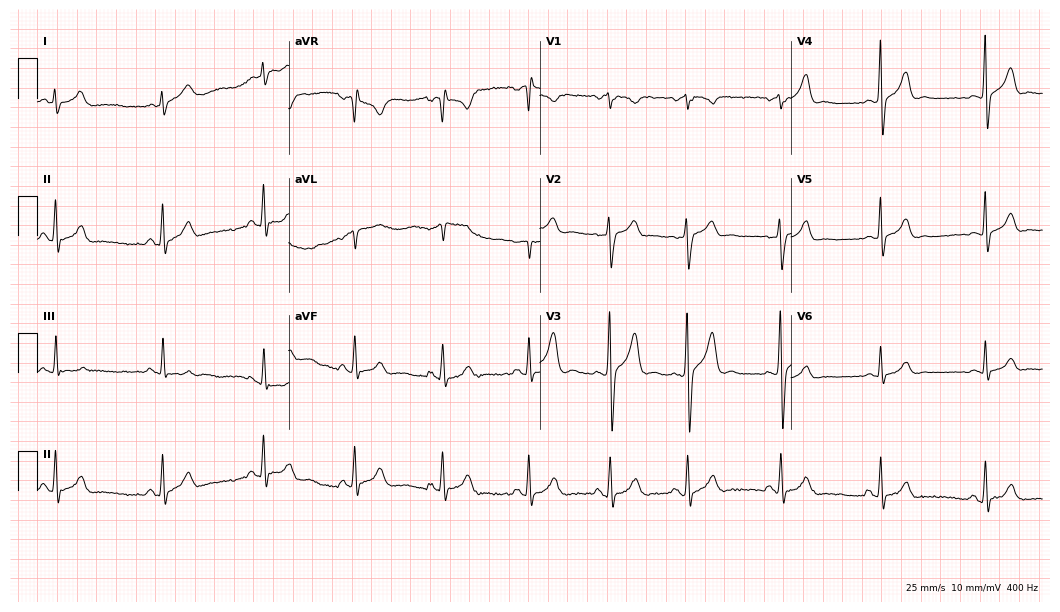
12-lead ECG (10.2-second recording at 400 Hz) from a male, 22 years old. Labelled as a normal ECG.